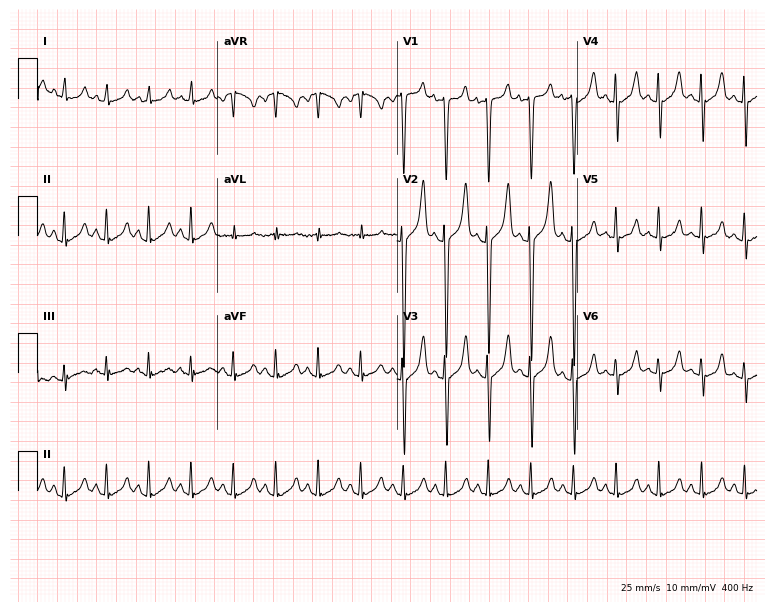
12-lead ECG from a 30-year-old male. Shows sinus tachycardia (a sinus rate of 100 beats per minute or more).